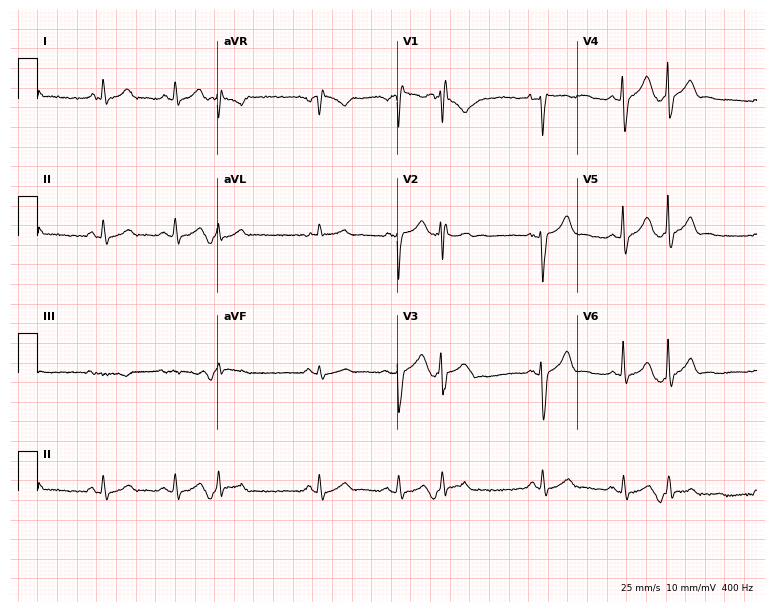
Resting 12-lead electrocardiogram (7.3-second recording at 400 Hz). Patient: a 33-year-old man. Read as a normal ECG.